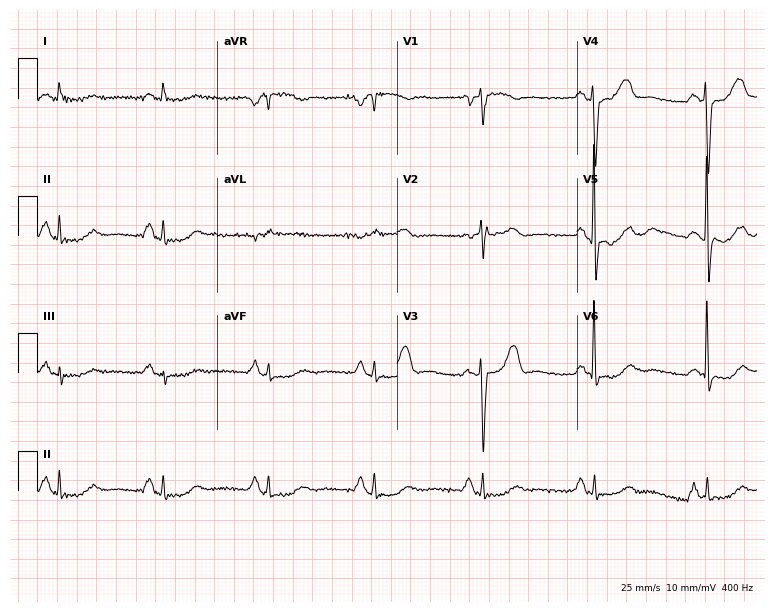
12-lead ECG from a 75-year-old man (7.3-second recording at 400 Hz). No first-degree AV block, right bundle branch block, left bundle branch block, sinus bradycardia, atrial fibrillation or sinus tachycardia recorded for this tracing. Other findings, if any, are not listed.